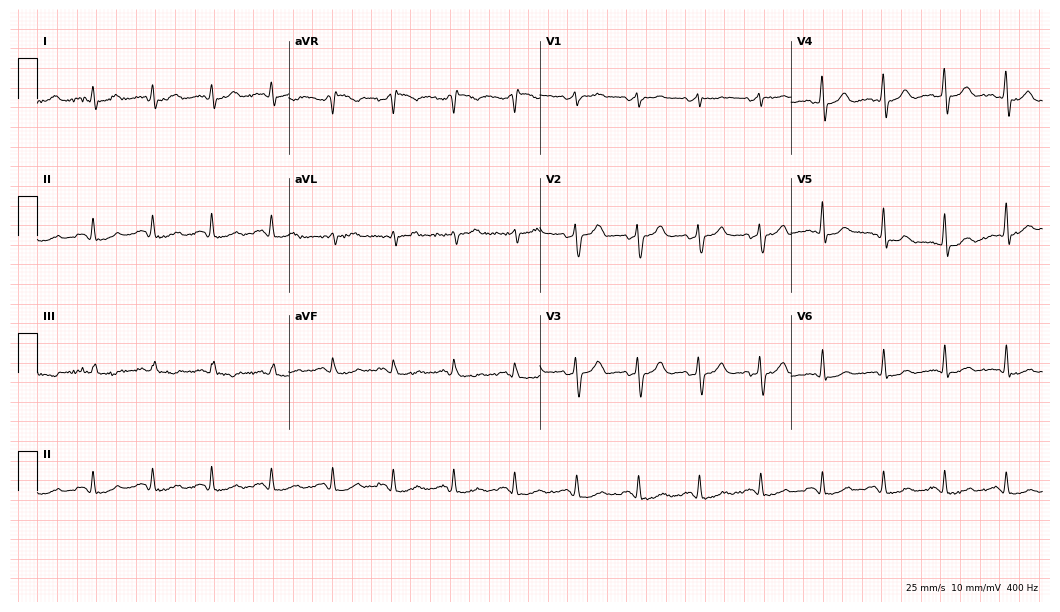
Resting 12-lead electrocardiogram (10.2-second recording at 400 Hz). Patient: a woman, 59 years old. Read as a normal ECG.